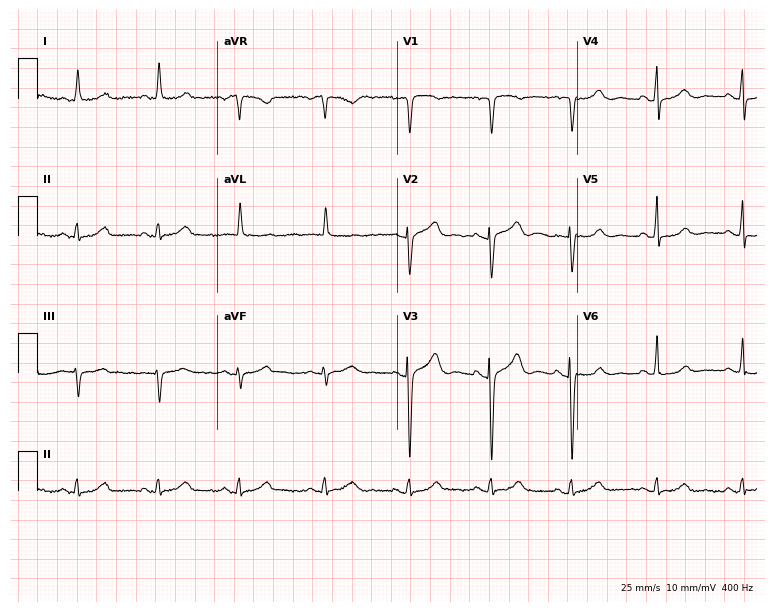
12-lead ECG from an 83-year-old female patient. Recorded interpretation: within normal limits.